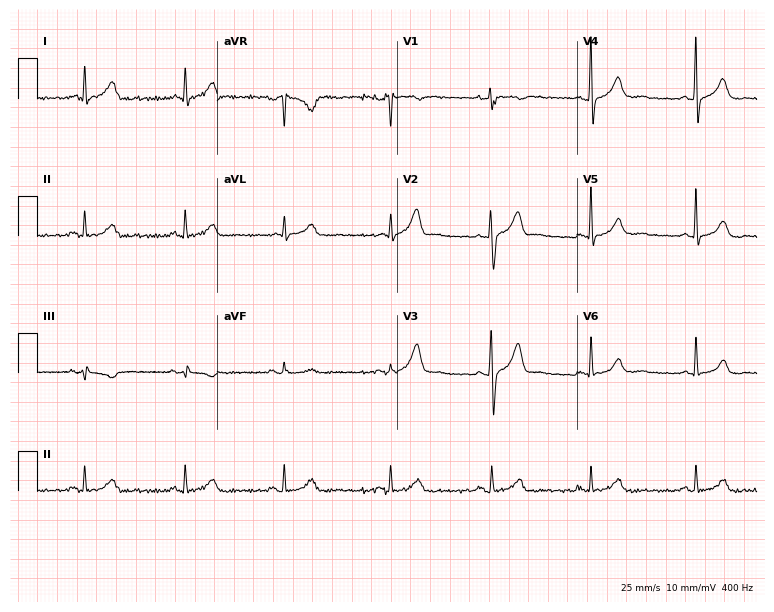
ECG (7.3-second recording at 400 Hz) — a man, 41 years old. Labelled as a normal ECG.